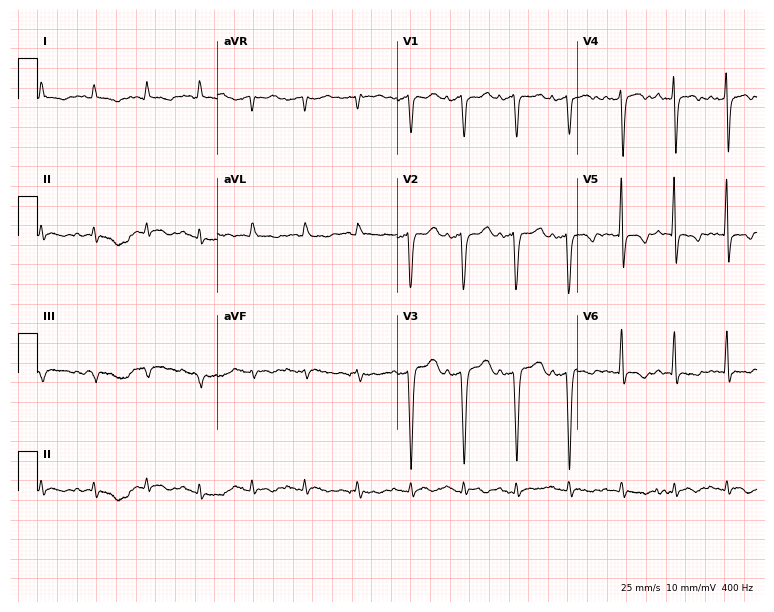
ECG — a female, 77 years old. Findings include sinus tachycardia (a sinus rate of 100 beats per minute or more).